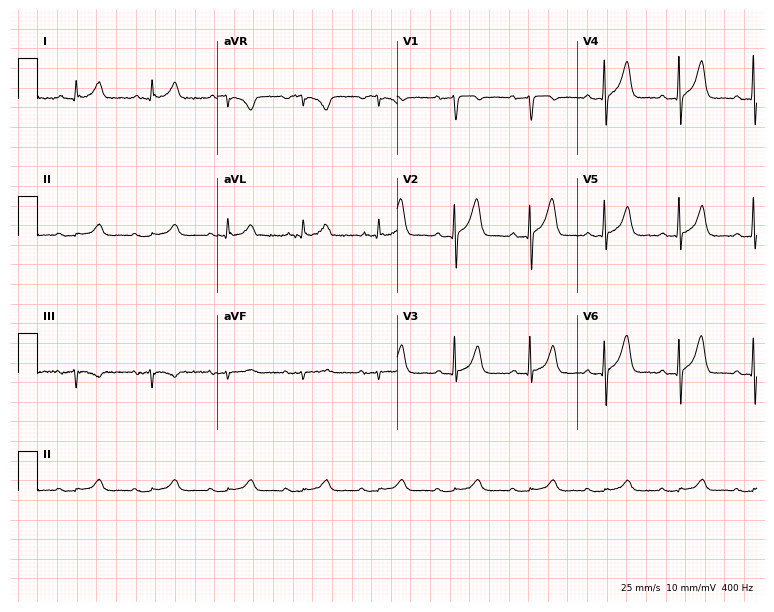
Standard 12-lead ECG recorded from a male, 78 years old (7.3-second recording at 400 Hz). None of these six findings is recorded: first-degree AV block, right bundle branch block, left bundle branch block, sinus bradycardia, atrial fibrillation, sinus tachycardia.